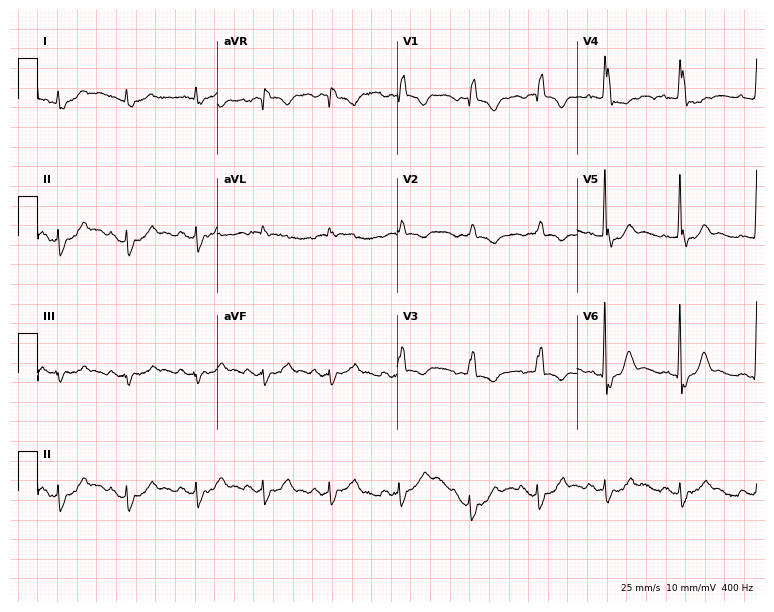
Standard 12-lead ECG recorded from a male, 75 years old. The tracing shows right bundle branch block.